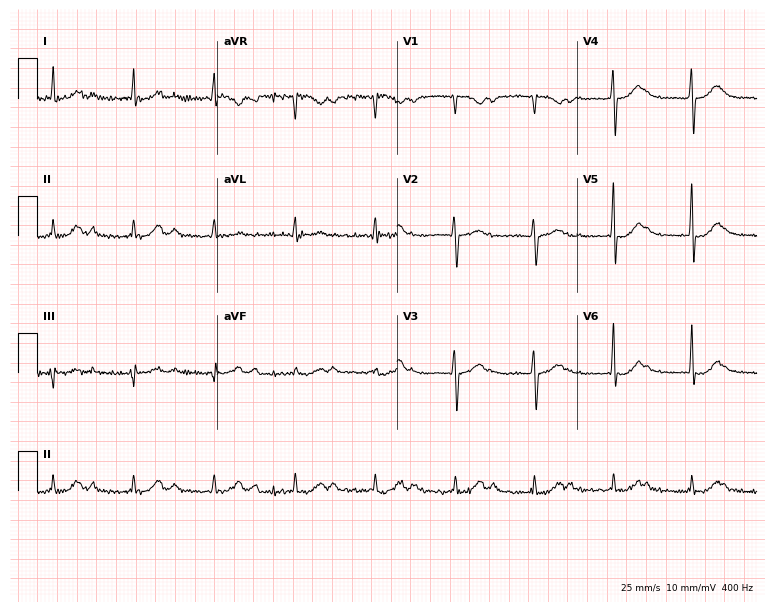
Electrocardiogram, a 75-year-old man. Of the six screened findings (first-degree AV block, right bundle branch block, left bundle branch block, sinus bradycardia, atrial fibrillation, sinus tachycardia), none is recorded. Other findings, if any, are not listed.